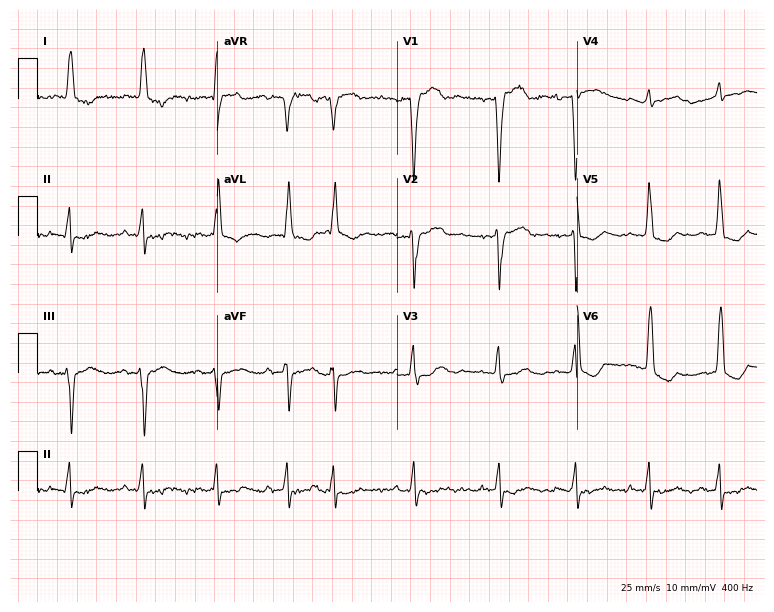
12-lead ECG from a 79-year-old female patient. No first-degree AV block, right bundle branch block (RBBB), left bundle branch block (LBBB), sinus bradycardia, atrial fibrillation (AF) or sinus tachycardia recorded for this tracing.